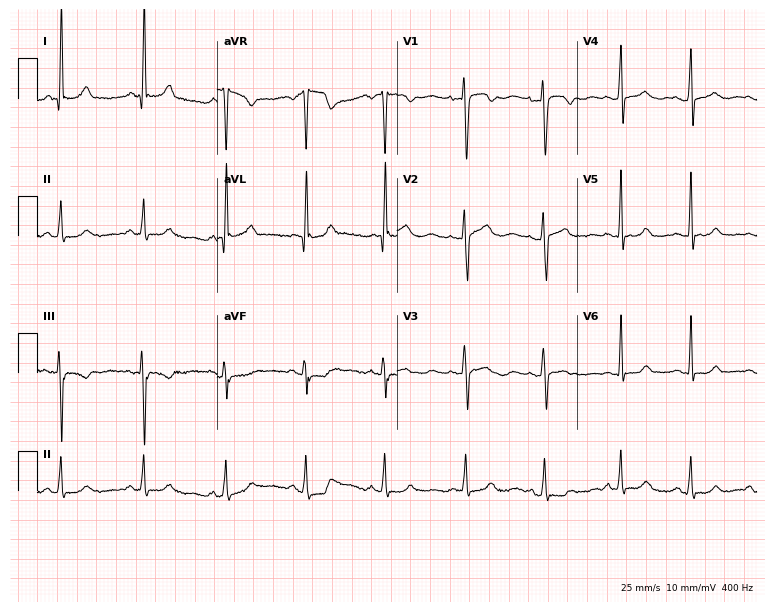
Resting 12-lead electrocardiogram (7.3-second recording at 400 Hz). Patient: a female, 46 years old. None of these six findings is recorded: first-degree AV block, right bundle branch block (RBBB), left bundle branch block (LBBB), sinus bradycardia, atrial fibrillation (AF), sinus tachycardia.